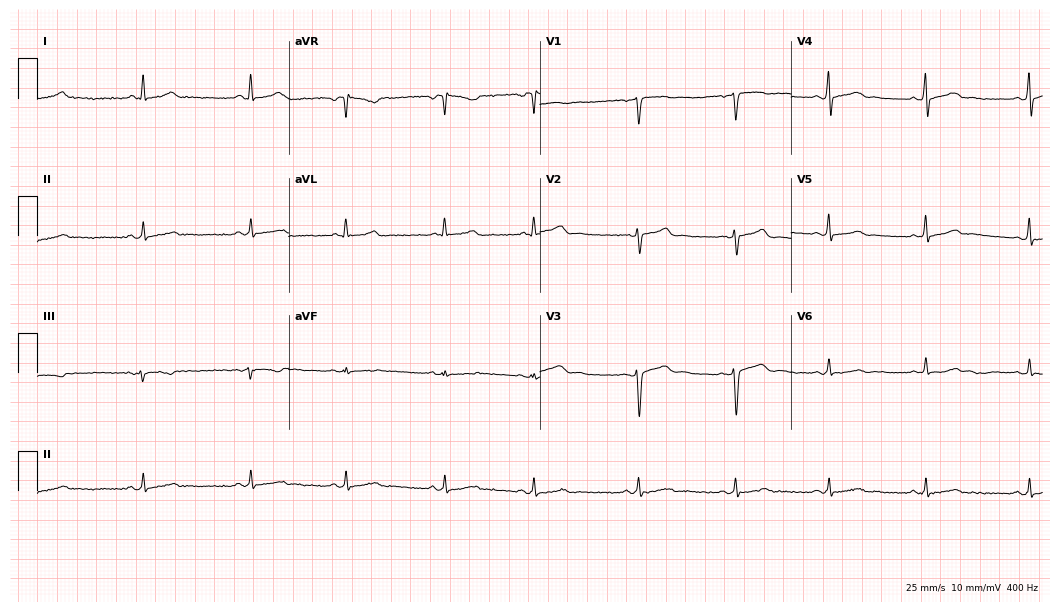
ECG (10.2-second recording at 400 Hz) — a 41-year-old female patient. Screened for six findings — first-degree AV block, right bundle branch block, left bundle branch block, sinus bradycardia, atrial fibrillation, sinus tachycardia — none is recorded. Other findings, if any, are not listed.